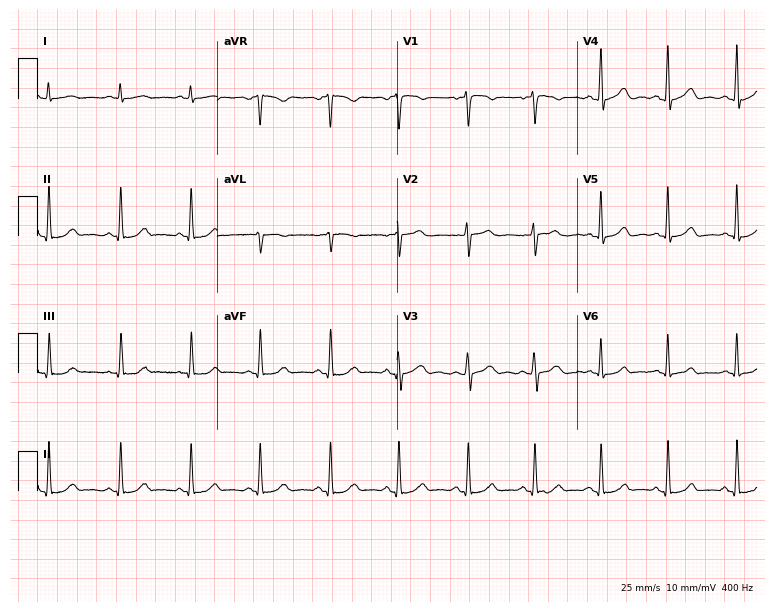
12-lead ECG (7.3-second recording at 400 Hz) from a 46-year-old female. Labelled as a normal ECG.